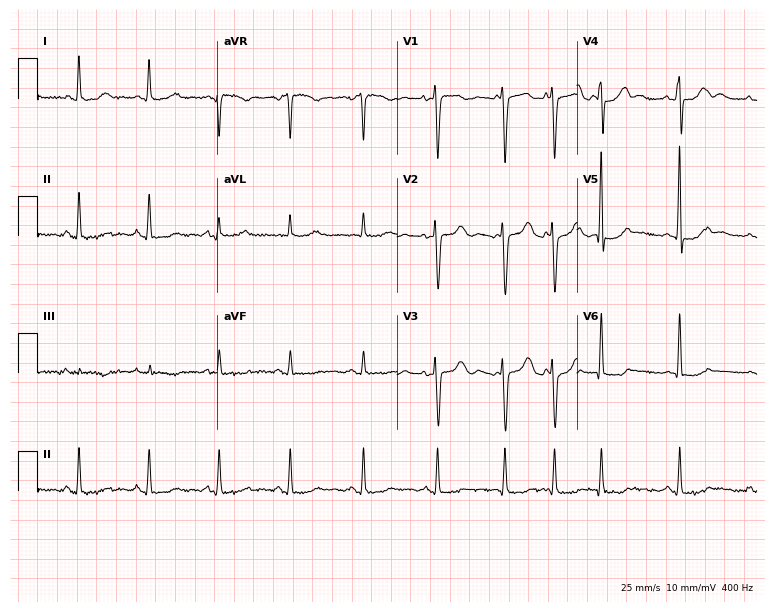
Standard 12-lead ECG recorded from a 56-year-old female. None of these six findings is recorded: first-degree AV block, right bundle branch block, left bundle branch block, sinus bradycardia, atrial fibrillation, sinus tachycardia. Other findings, if any, are not listed.